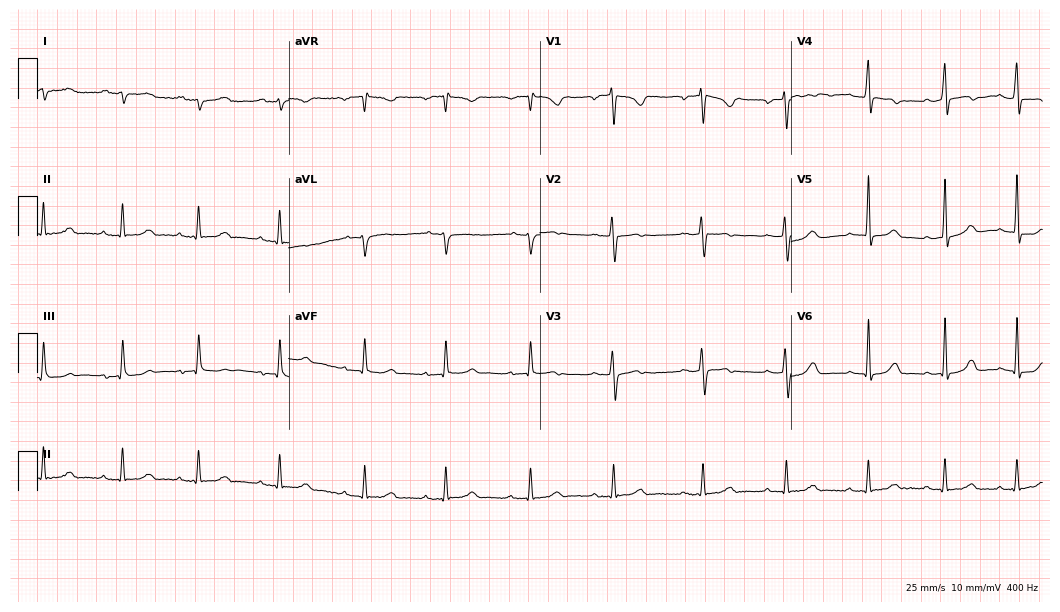
12-lead ECG from a 17-year-old female patient. Labelled as a normal ECG.